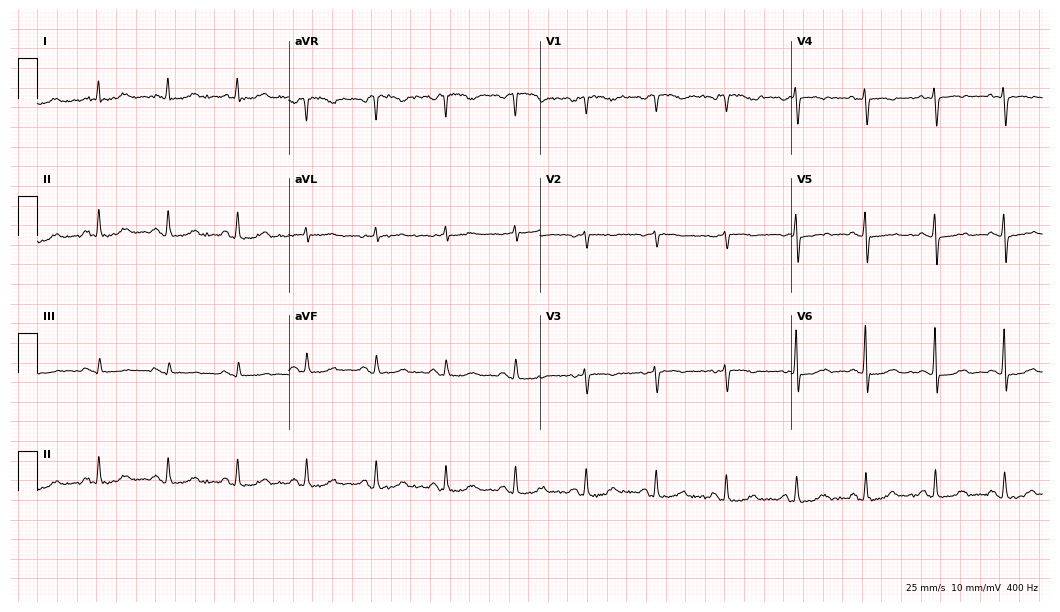
12-lead ECG (10.2-second recording at 400 Hz) from a woman, 77 years old. Screened for six findings — first-degree AV block, right bundle branch block (RBBB), left bundle branch block (LBBB), sinus bradycardia, atrial fibrillation (AF), sinus tachycardia — none is recorded.